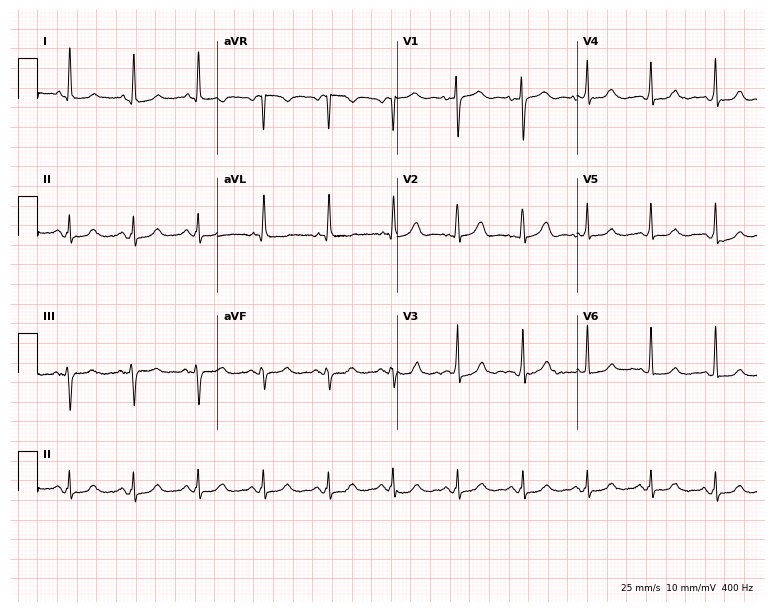
Electrocardiogram (7.3-second recording at 400 Hz), a 70-year-old female. Of the six screened findings (first-degree AV block, right bundle branch block (RBBB), left bundle branch block (LBBB), sinus bradycardia, atrial fibrillation (AF), sinus tachycardia), none is recorded.